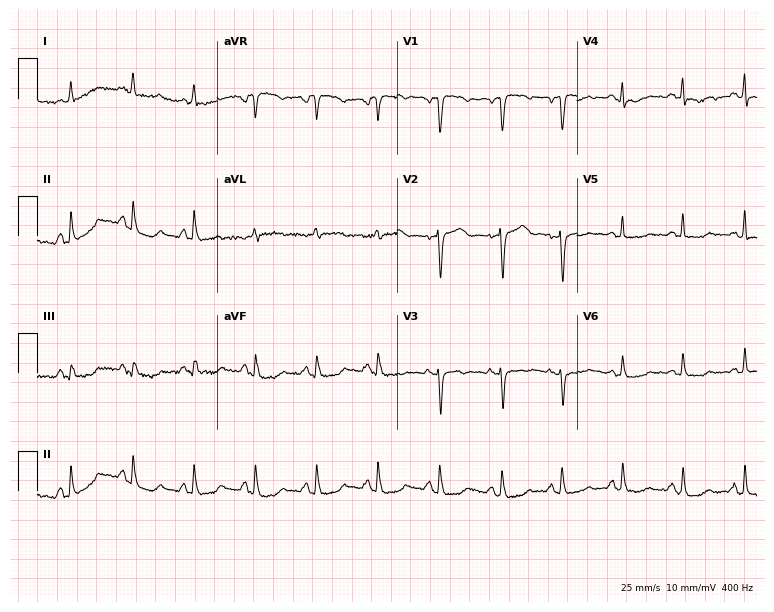
Resting 12-lead electrocardiogram. Patient: a woman, 50 years old. None of these six findings is recorded: first-degree AV block, right bundle branch block, left bundle branch block, sinus bradycardia, atrial fibrillation, sinus tachycardia. Only these six findings were labelled.